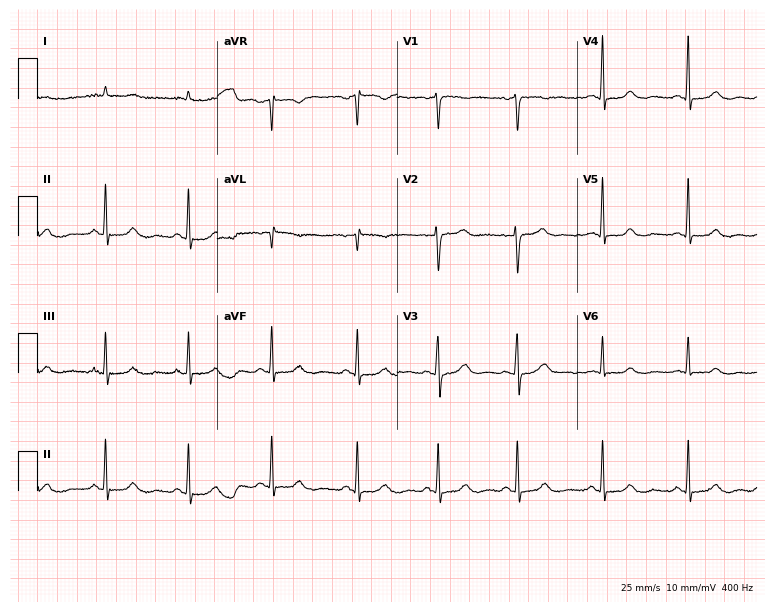
Resting 12-lead electrocardiogram (7.3-second recording at 400 Hz). Patient: a 38-year-old female. None of these six findings is recorded: first-degree AV block, right bundle branch block (RBBB), left bundle branch block (LBBB), sinus bradycardia, atrial fibrillation (AF), sinus tachycardia.